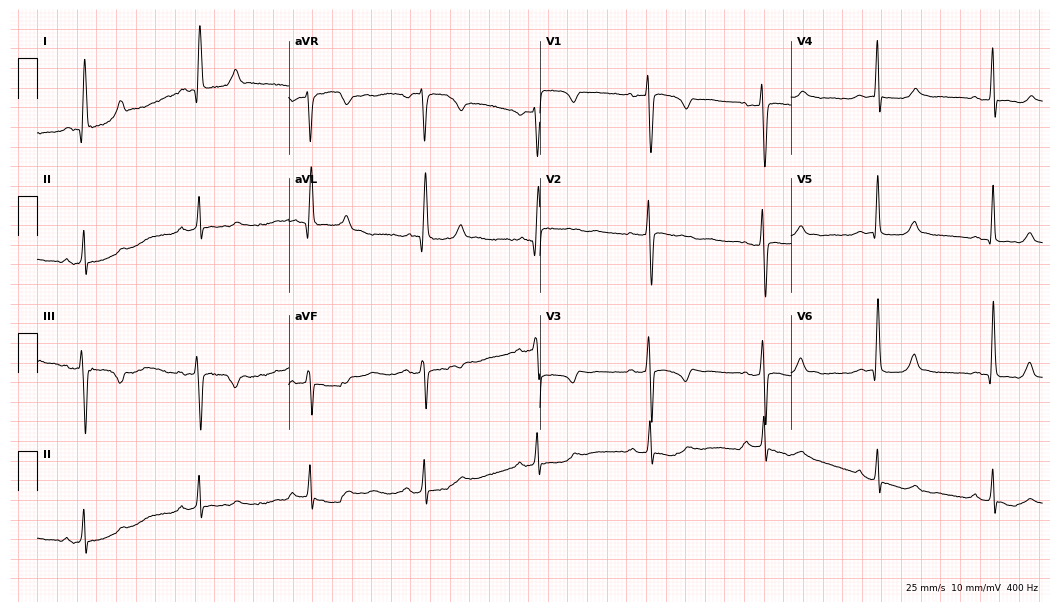
Electrocardiogram, a female, 66 years old. Of the six screened findings (first-degree AV block, right bundle branch block, left bundle branch block, sinus bradycardia, atrial fibrillation, sinus tachycardia), none is recorded. Findings outside these six are not listed.